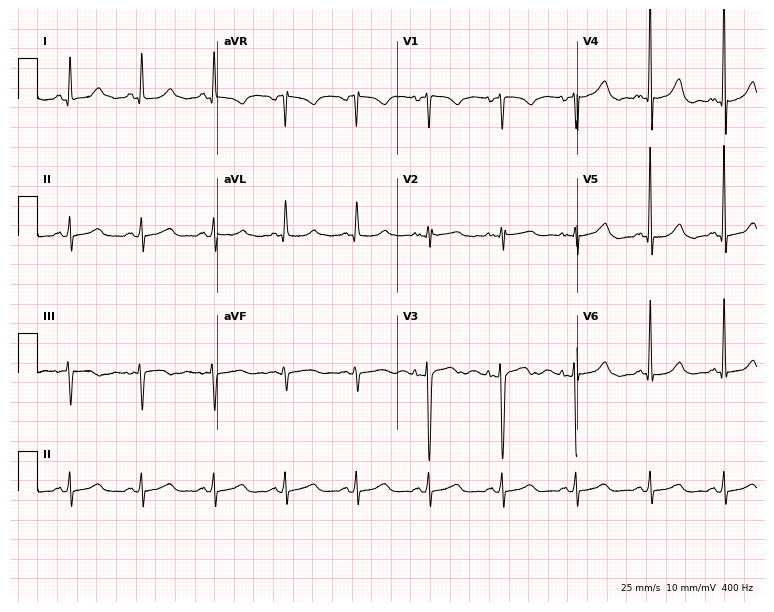
12-lead ECG from a female, 63 years old. Recorded interpretation: within normal limits.